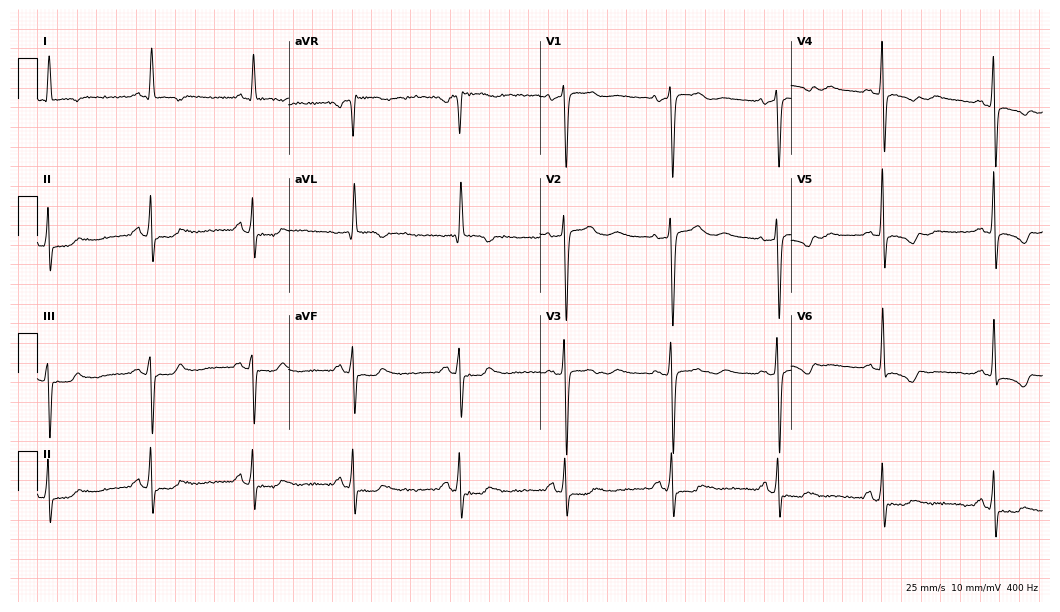
Electrocardiogram (10.2-second recording at 400 Hz), a female patient, 73 years old. Of the six screened findings (first-degree AV block, right bundle branch block (RBBB), left bundle branch block (LBBB), sinus bradycardia, atrial fibrillation (AF), sinus tachycardia), none is recorded.